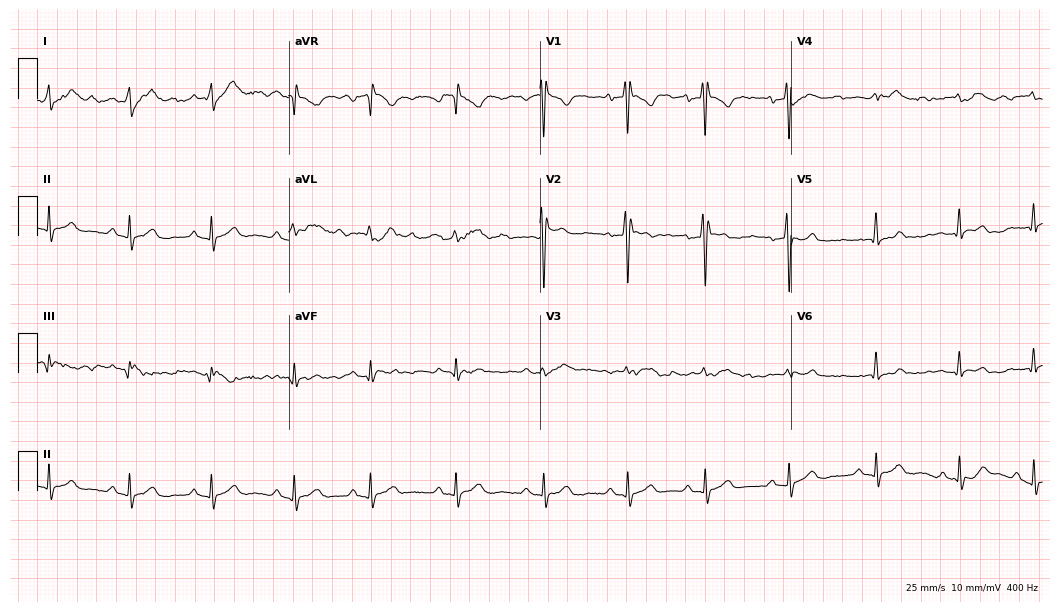
Resting 12-lead electrocardiogram (10.2-second recording at 400 Hz). Patient: a 26-year-old male. Read as a normal ECG.